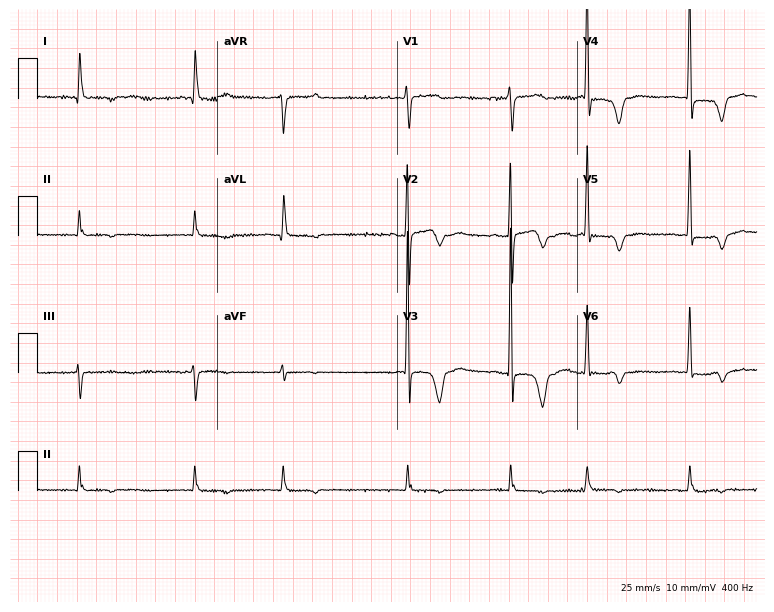
12-lead ECG from a female patient, 82 years old (7.3-second recording at 400 Hz). No first-degree AV block, right bundle branch block (RBBB), left bundle branch block (LBBB), sinus bradycardia, atrial fibrillation (AF) or sinus tachycardia recorded for this tracing. Findings outside these six are not listed.